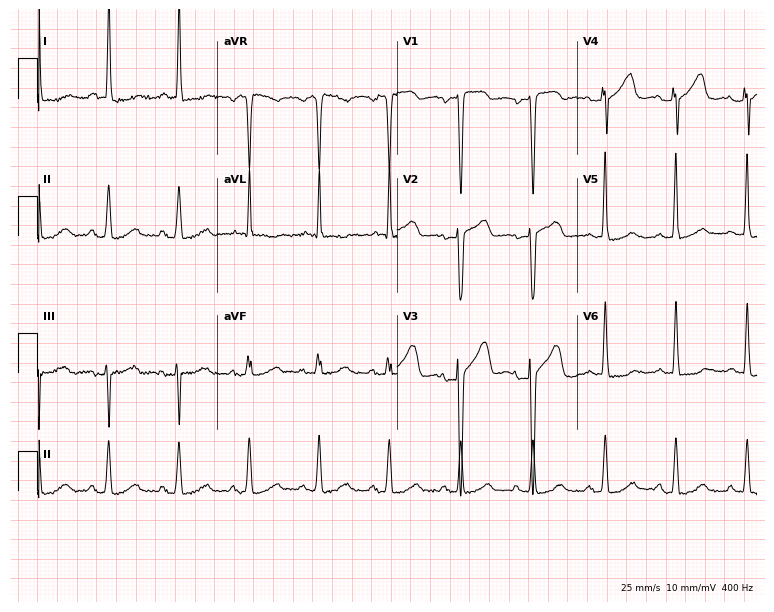
Electrocardiogram (7.3-second recording at 400 Hz), a female, 48 years old. Of the six screened findings (first-degree AV block, right bundle branch block, left bundle branch block, sinus bradycardia, atrial fibrillation, sinus tachycardia), none is recorded. Findings outside these six are not listed.